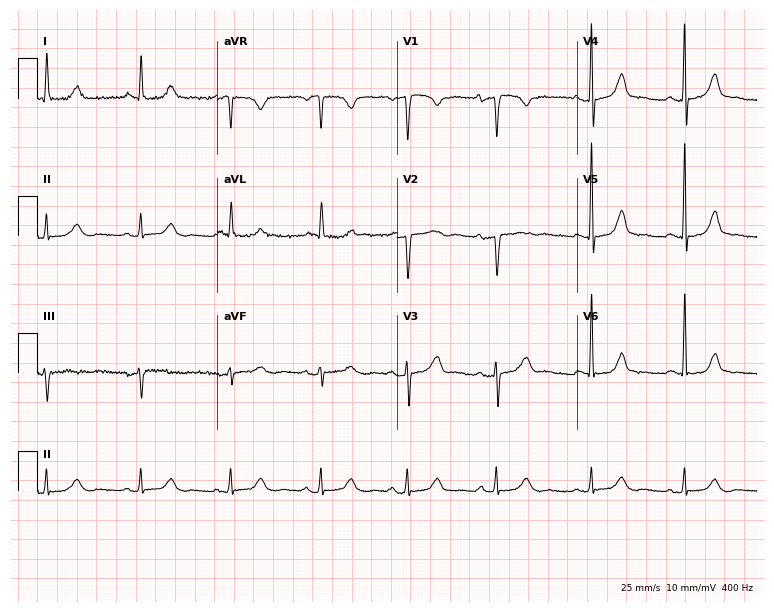
Resting 12-lead electrocardiogram. Patient: a female, 53 years old. None of these six findings is recorded: first-degree AV block, right bundle branch block, left bundle branch block, sinus bradycardia, atrial fibrillation, sinus tachycardia.